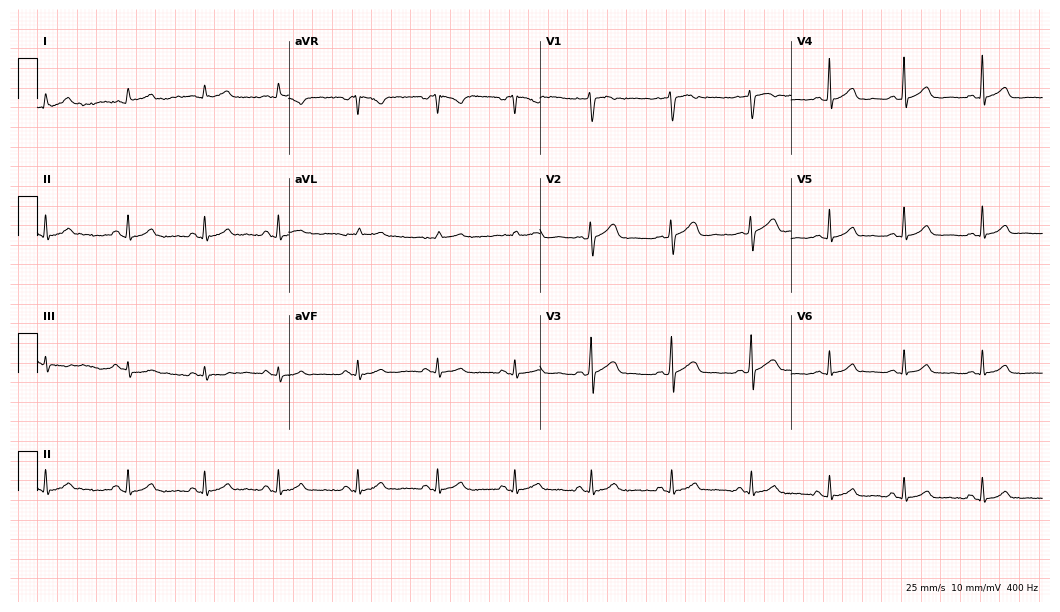
12-lead ECG from a female patient, 44 years old. Recorded interpretation: within normal limits.